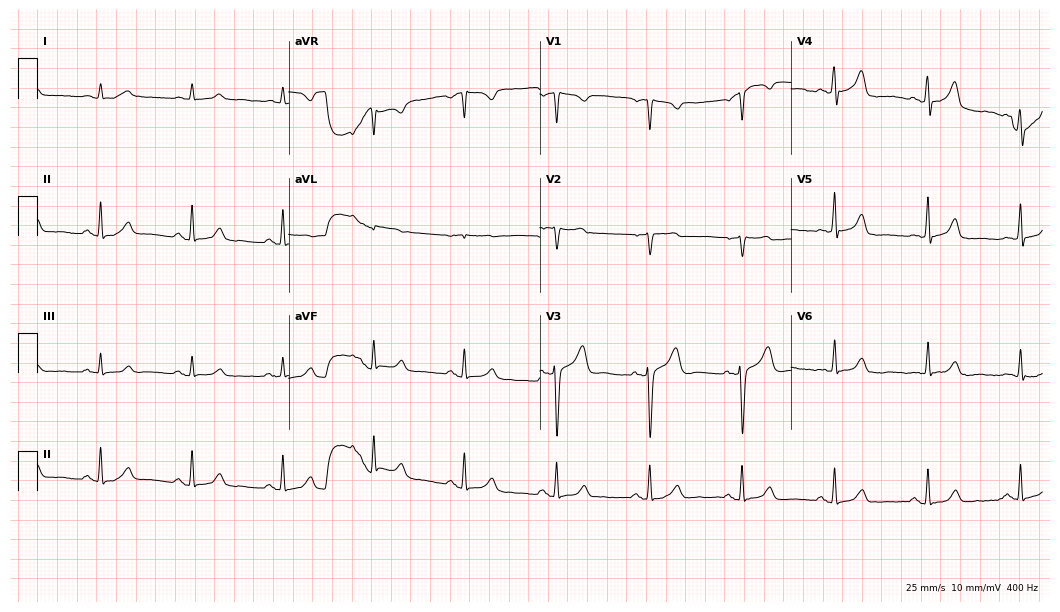
Resting 12-lead electrocardiogram. Patient: a male, 73 years old. None of these six findings is recorded: first-degree AV block, right bundle branch block, left bundle branch block, sinus bradycardia, atrial fibrillation, sinus tachycardia.